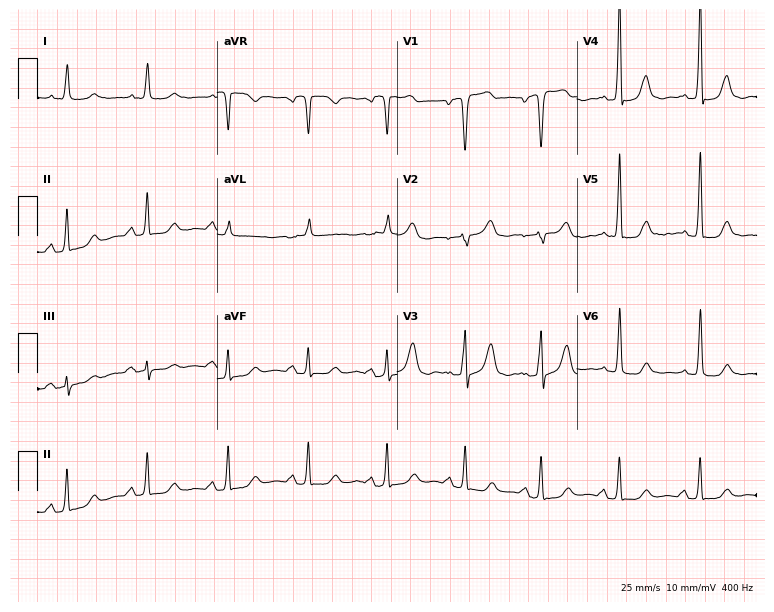
ECG (7.3-second recording at 400 Hz) — a female, 79 years old. Screened for six findings — first-degree AV block, right bundle branch block (RBBB), left bundle branch block (LBBB), sinus bradycardia, atrial fibrillation (AF), sinus tachycardia — none is recorded.